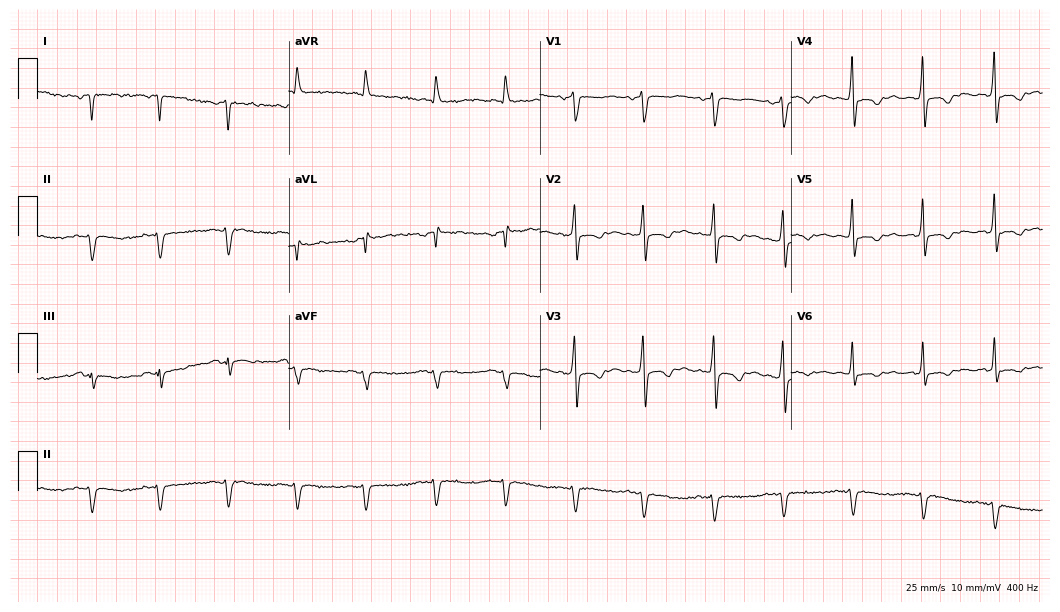
12-lead ECG (10.2-second recording at 400 Hz) from a male patient, 61 years old. Screened for six findings — first-degree AV block, right bundle branch block (RBBB), left bundle branch block (LBBB), sinus bradycardia, atrial fibrillation (AF), sinus tachycardia — none is recorded. Other findings, if any, are not listed.